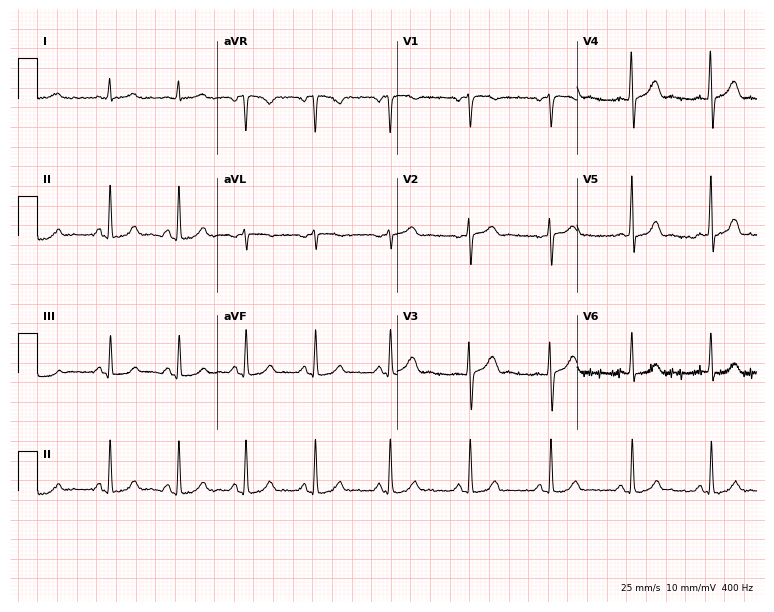
ECG — a 29-year-old female. Screened for six findings — first-degree AV block, right bundle branch block, left bundle branch block, sinus bradycardia, atrial fibrillation, sinus tachycardia — none is recorded.